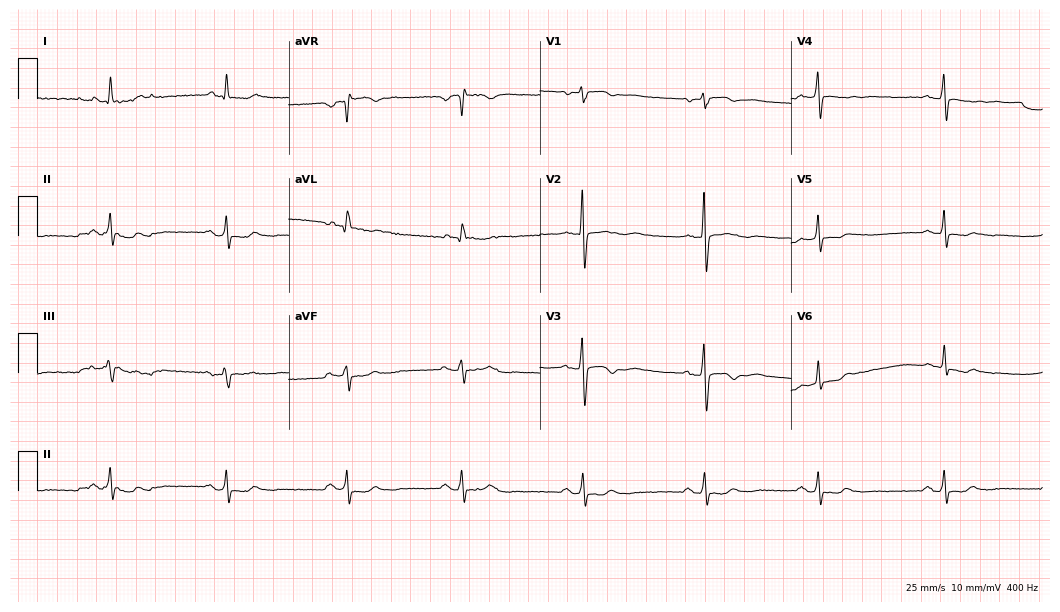
ECG (10.2-second recording at 400 Hz) — a woman, 61 years old. Screened for six findings — first-degree AV block, right bundle branch block, left bundle branch block, sinus bradycardia, atrial fibrillation, sinus tachycardia — none is recorded. Findings outside these six are not listed.